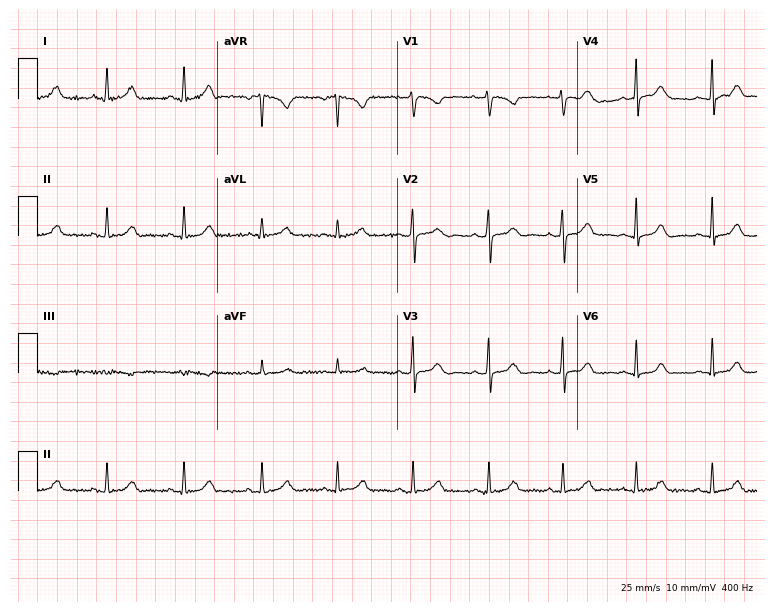
Electrocardiogram, a female patient, 36 years old. Overall reading on record: normal ECG.